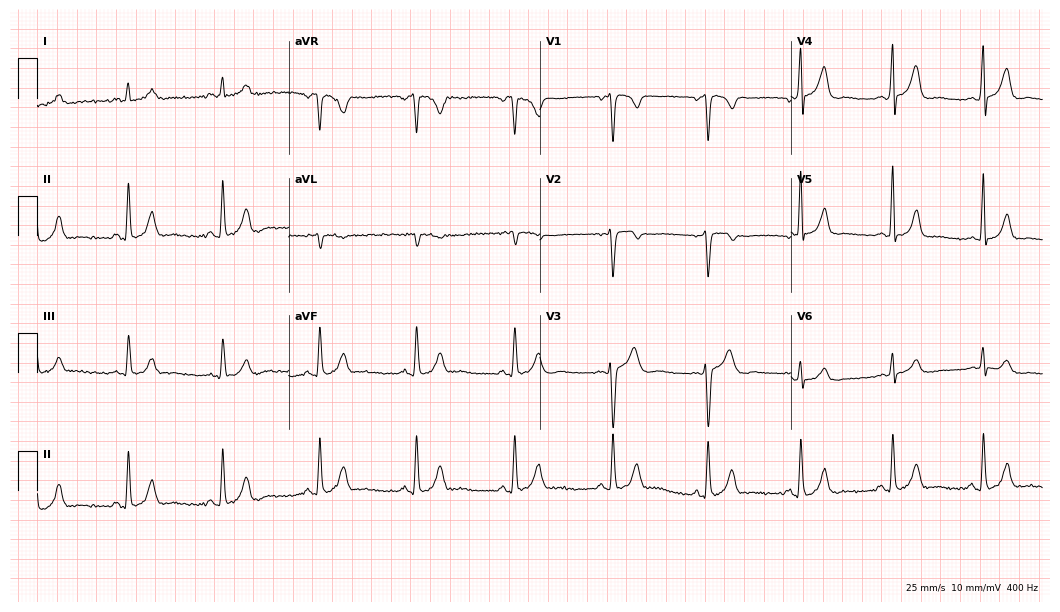
Standard 12-lead ECG recorded from a 33-year-old male. Read as a normal ECG.